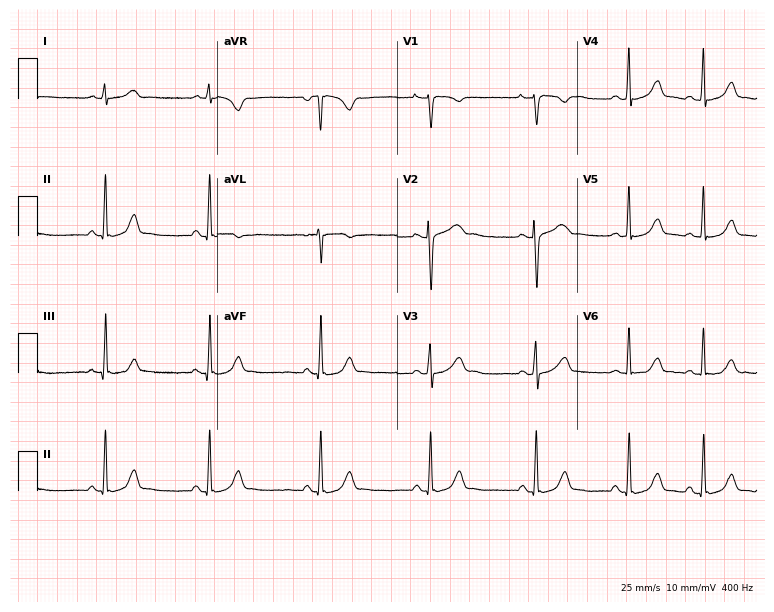
Standard 12-lead ECG recorded from a woman, 33 years old (7.3-second recording at 400 Hz). Read as a normal ECG.